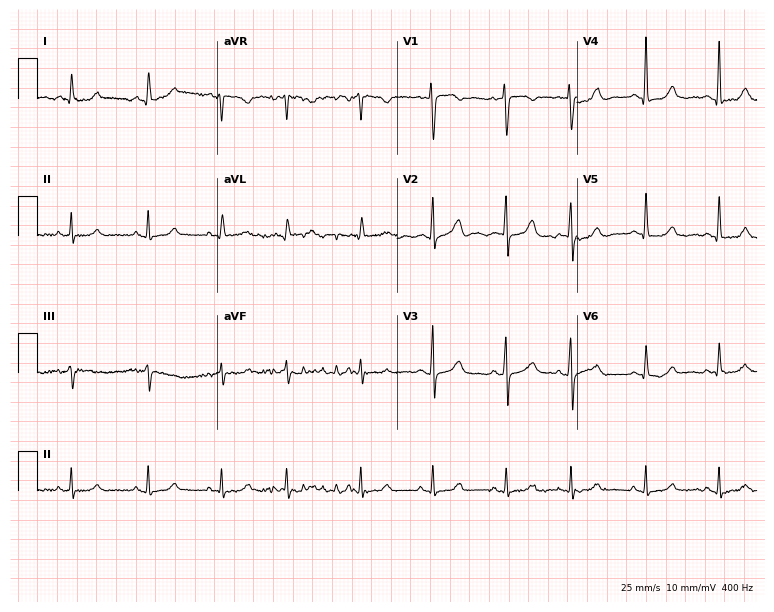
ECG (7.3-second recording at 400 Hz) — a 61-year-old woman. Screened for six findings — first-degree AV block, right bundle branch block (RBBB), left bundle branch block (LBBB), sinus bradycardia, atrial fibrillation (AF), sinus tachycardia — none is recorded. Other findings, if any, are not listed.